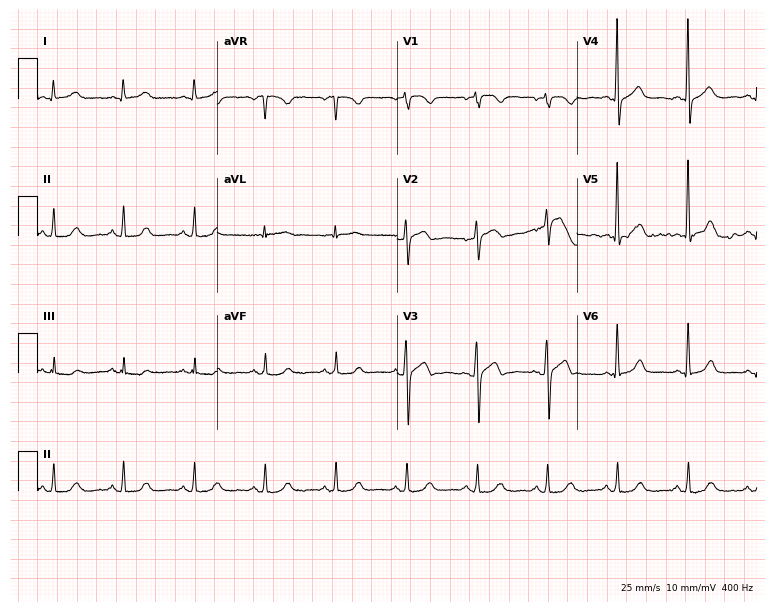
Standard 12-lead ECG recorded from a female patient, 61 years old (7.3-second recording at 400 Hz). Read as a normal ECG.